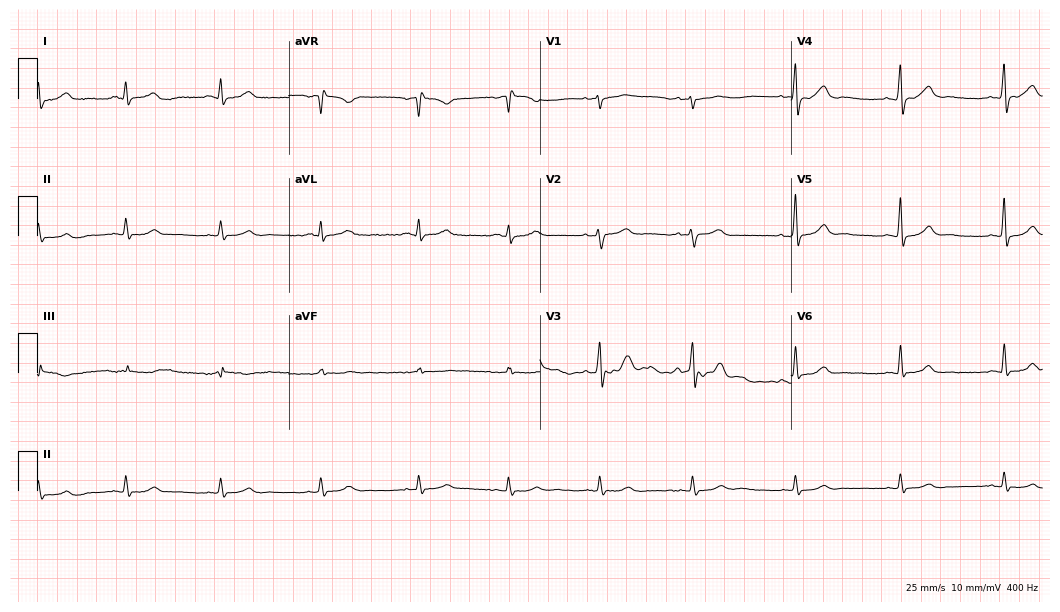
Resting 12-lead electrocardiogram (10.2-second recording at 400 Hz). Patient: a female, 36 years old. Read as a normal ECG.